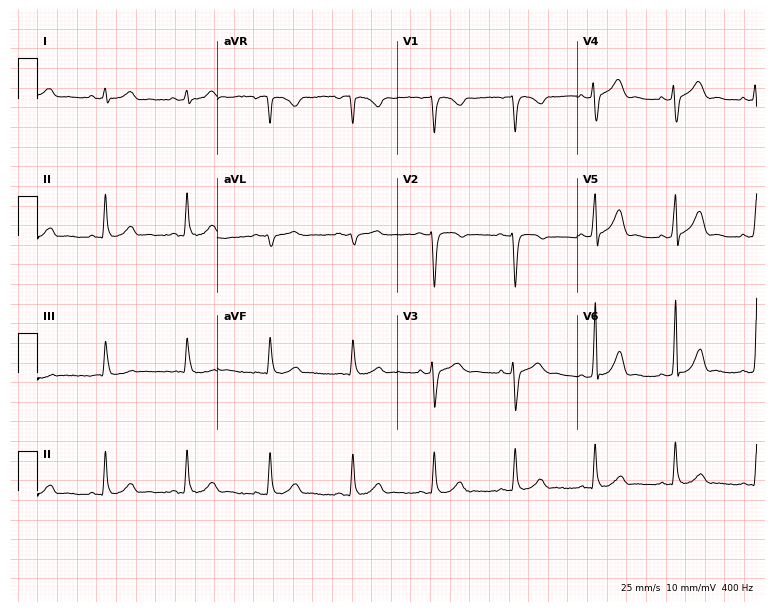
Resting 12-lead electrocardiogram. Patient: a male, 40 years old. None of these six findings is recorded: first-degree AV block, right bundle branch block, left bundle branch block, sinus bradycardia, atrial fibrillation, sinus tachycardia.